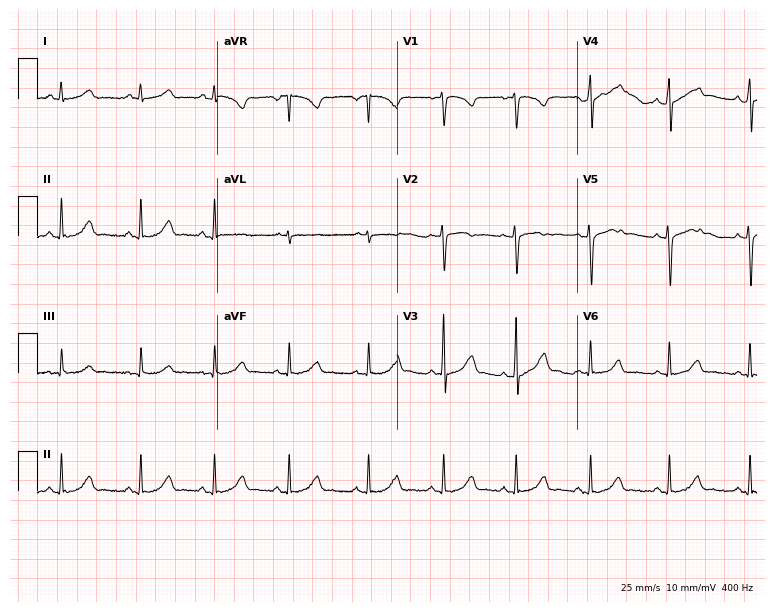
Standard 12-lead ECG recorded from a 31-year-old female (7.3-second recording at 400 Hz). None of these six findings is recorded: first-degree AV block, right bundle branch block (RBBB), left bundle branch block (LBBB), sinus bradycardia, atrial fibrillation (AF), sinus tachycardia. Only these six findings were labelled.